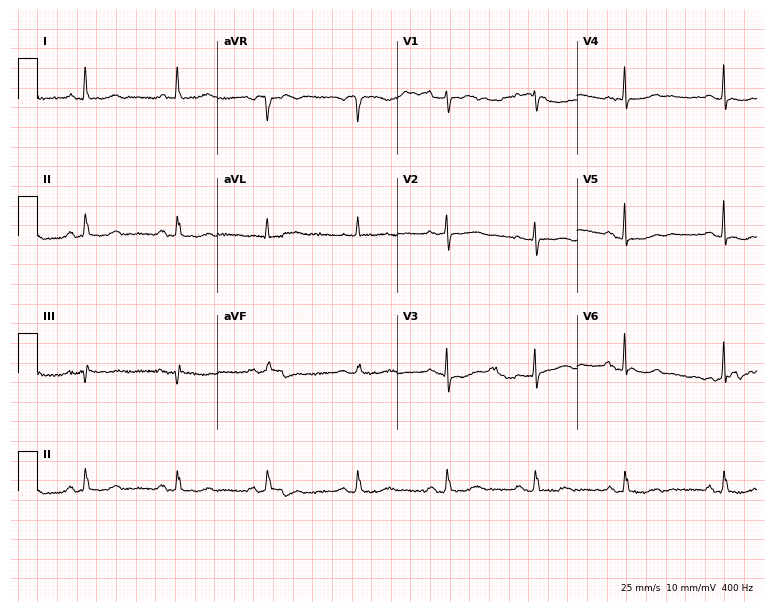
ECG (7.3-second recording at 400 Hz) — a female, 78 years old. Labelled as a normal ECG.